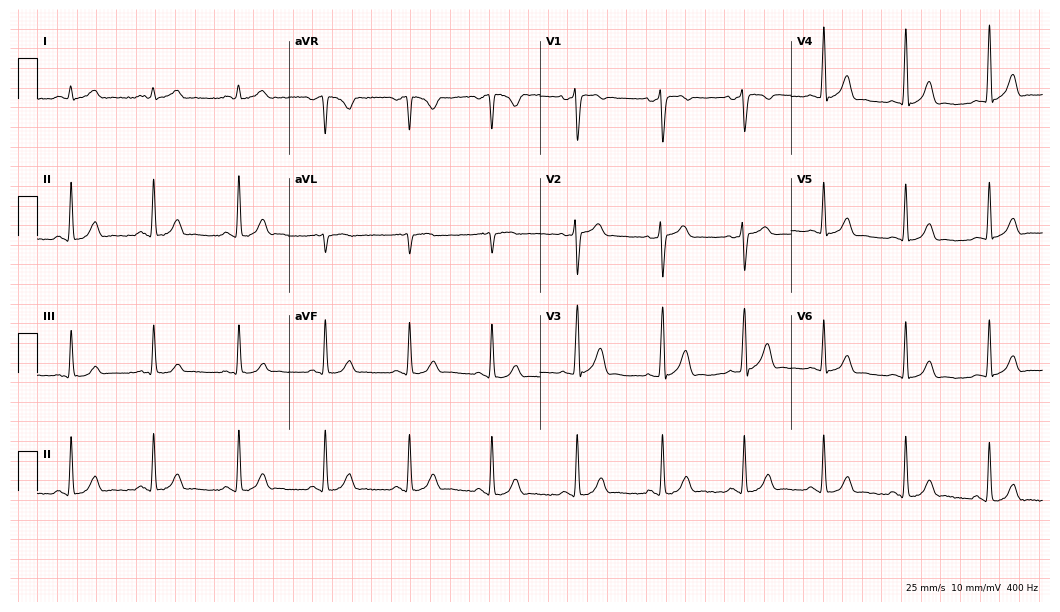
12-lead ECG (10.2-second recording at 400 Hz) from a male, 33 years old. Screened for six findings — first-degree AV block, right bundle branch block, left bundle branch block, sinus bradycardia, atrial fibrillation, sinus tachycardia — none is recorded.